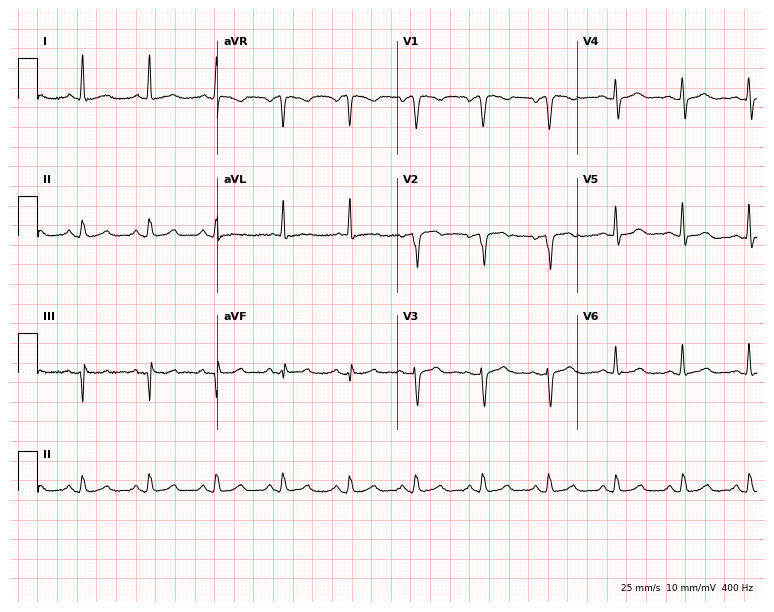
ECG (7.3-second recording at 400 Hz) — a 71-year-old man. Labelled as a normal ECG.